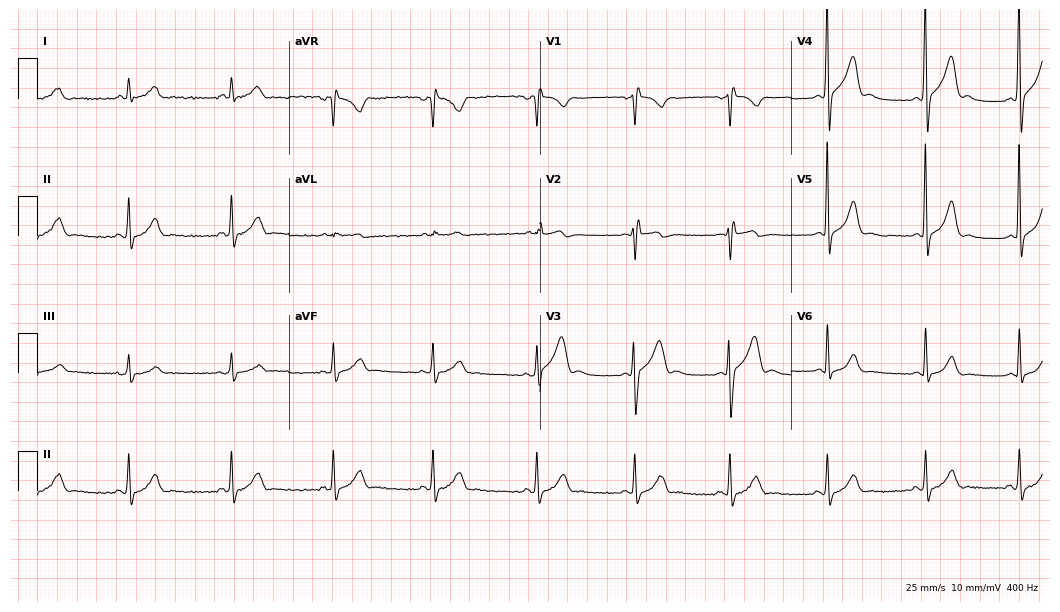
ECG (10.2-second recording at 400 Hz) — a male, 31 years old. Screened for six findings — first-degree AV block, right bundle branch block, left bundle branch block, sinus bradycardia, atrial fibrillation, sinus tachycardia — none is recorded. Findings outside these six are not listed.